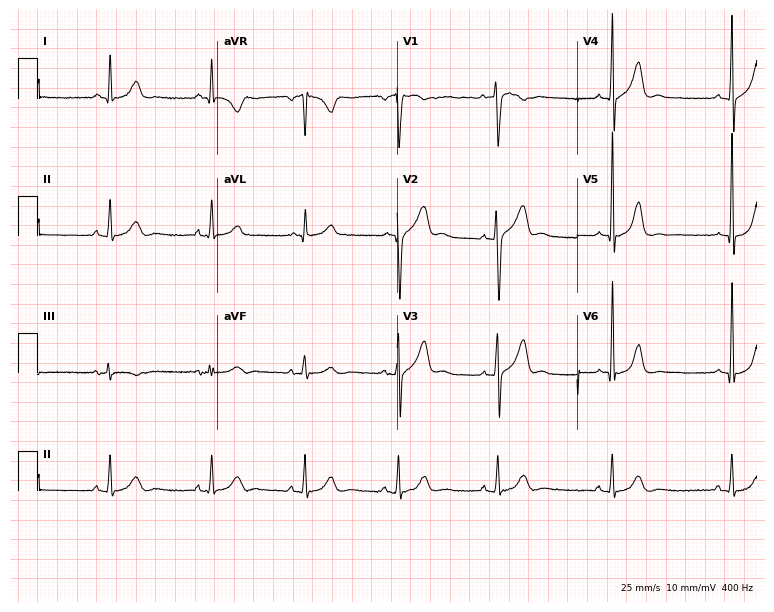
Electrocardiogram, a male, 40 years old. Overall reading on record: normal ECG.